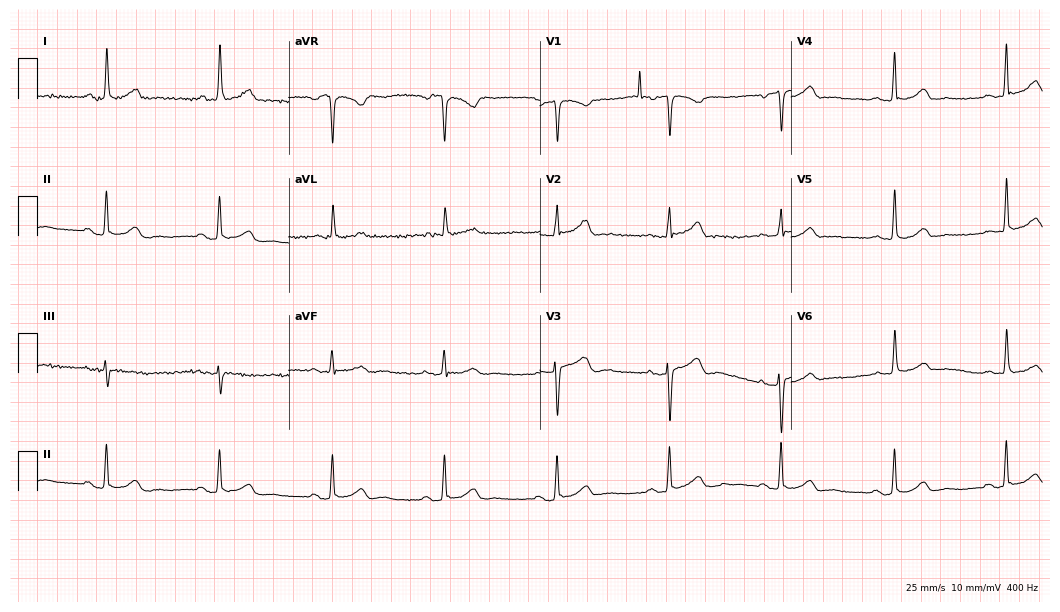
12-lead ECG from a 69-year-old female patient. Findings include first-degree AV block.